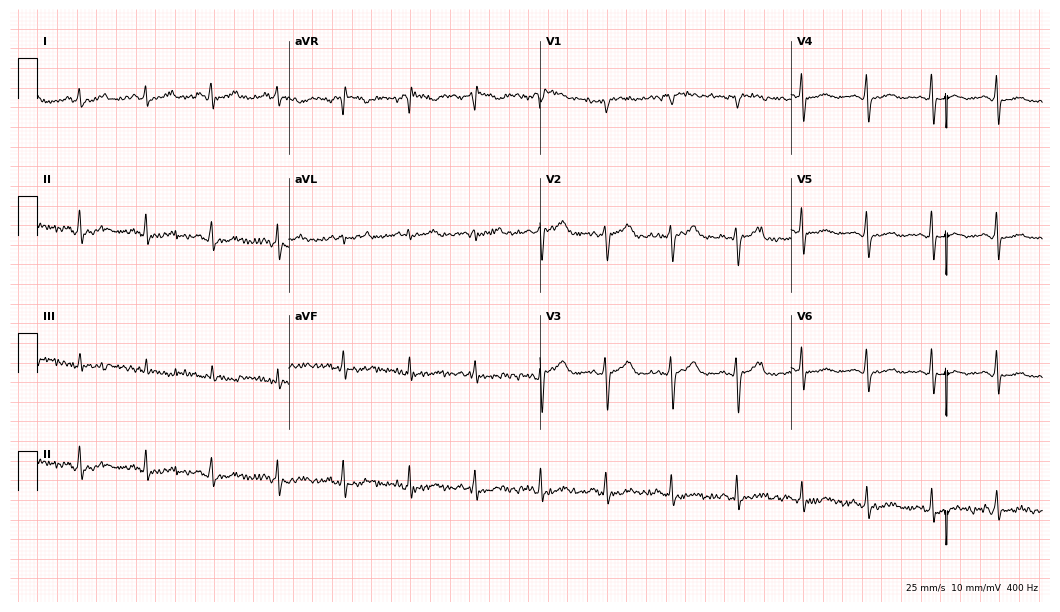
12-lead ECG from a female, 66 years old. No first-degree AV block, right bundle branch block (RBBB), left bundle branch block (LBBB), sinus bradycardia, atrial fibrillation (AF) or sinus tachycardia recorded for this tracing. Other findings, if any, are not listed.